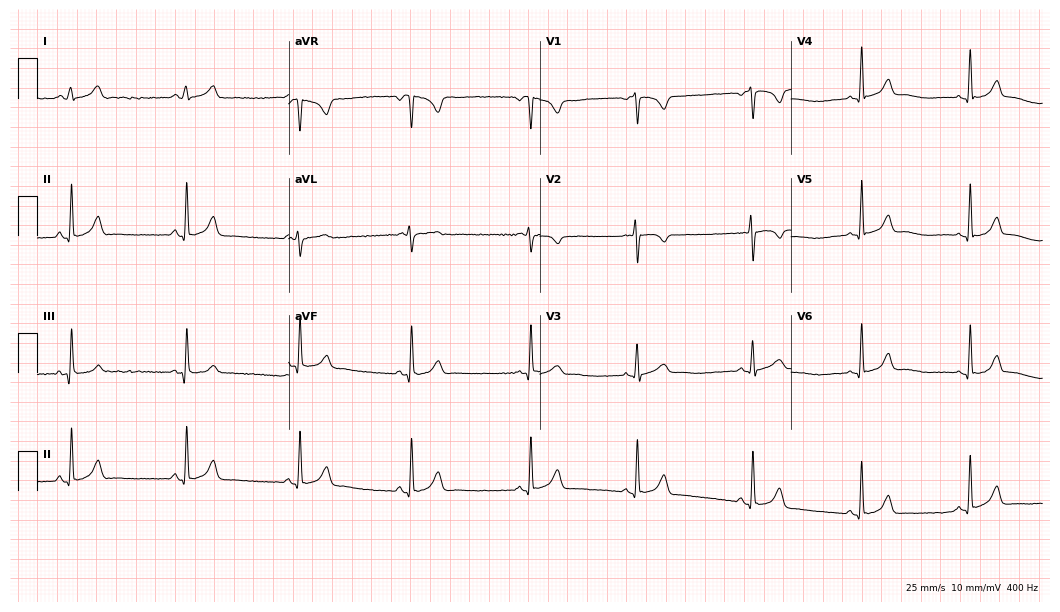
Electrocardiogram (10.2-second recording at 400 Hz), a 27-year-old female patient. Overall reading on record: normal ECG.